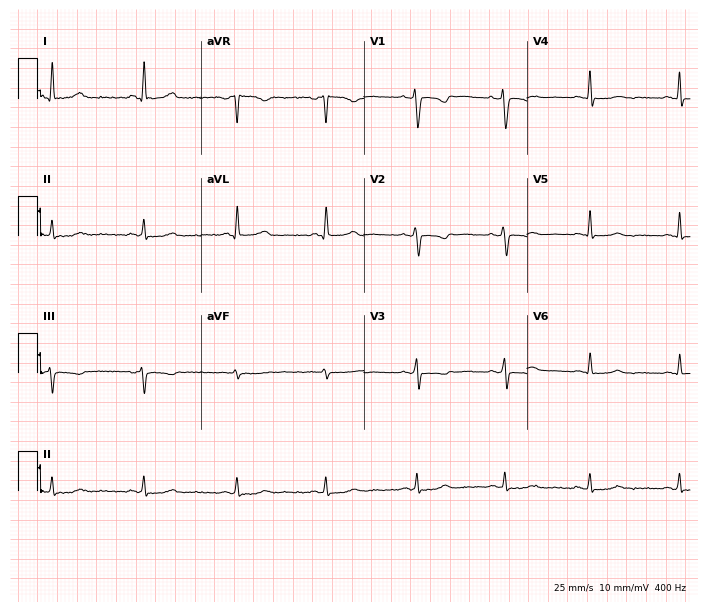
Standard 12-lead ECG recorded from a woman, 41 years old. None of these six findings is recorded: first-degree AV block, right bundle branch block, left bundle branch block, sinus bradycardia, atrial fibrillation, sinus tachycardia.